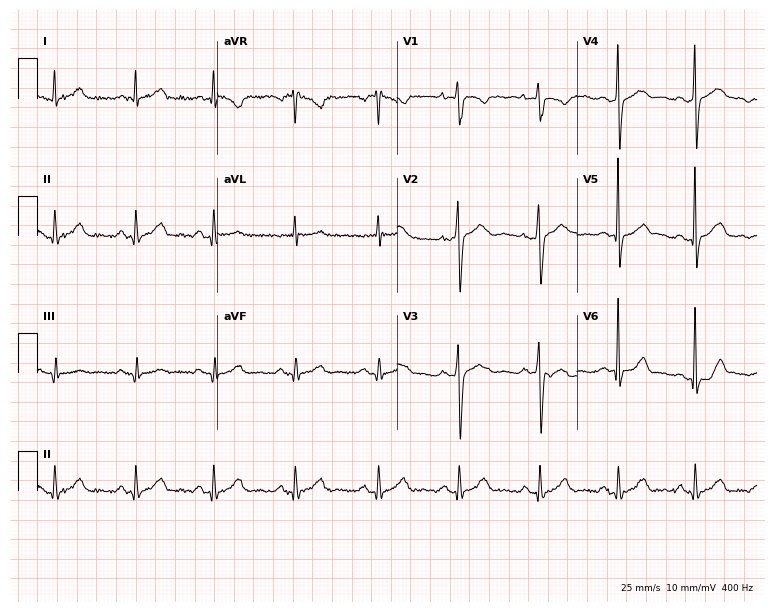
Resting 12-lead electrocardiogram (7.3-second recording at 400 Hz). Patient: a 39-year-old male. None of these six findings is recorded: first-degree AV block, right bundle branch block, left bundle branch block, sinus bradycardia, atrial fibrillation, sinus tachycardia. Only these six findings were labelled.